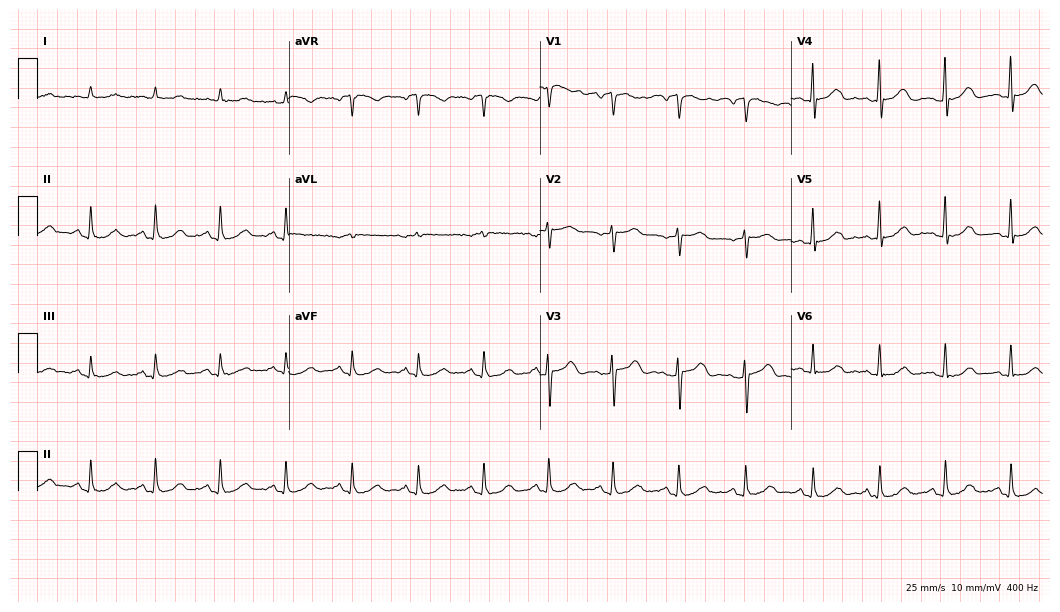
Resting 12-lead electrocardiogram (10.2-second recording at 400 Hz). Patient: a female, 75 years old. None of these six findings is recorded: first-degree AV block, right bundle branch block, left bundle branch block, sinus bradycardia, atrial fibrillation, sinus tachycardia.